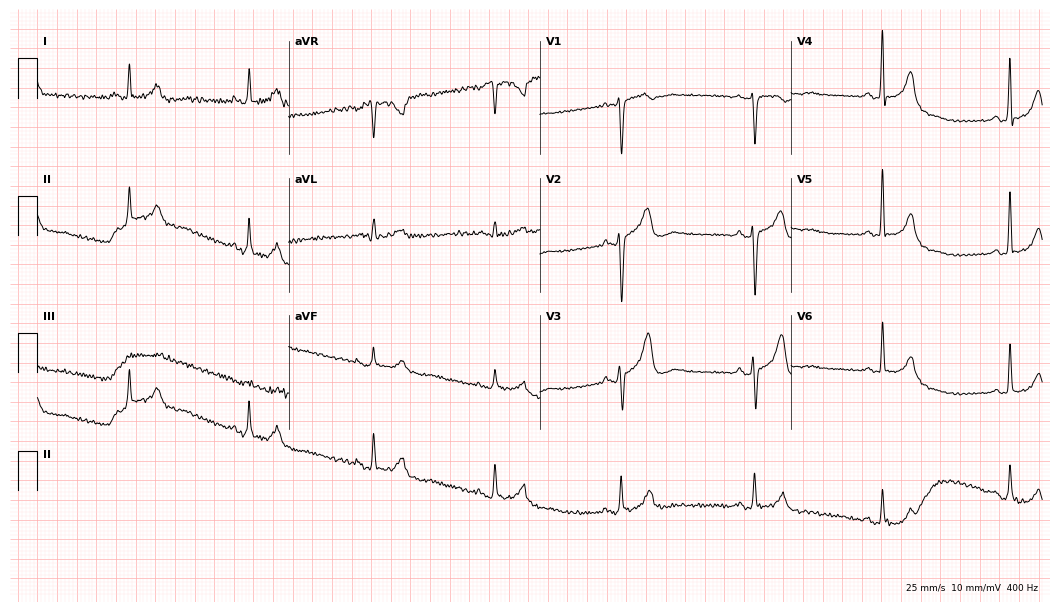
ECG (10.2-second recording at 400 Hz) — a male patient, 62 years old. Findings include sinus bradycardia (a sinus rate of 50 beats per minute or less).